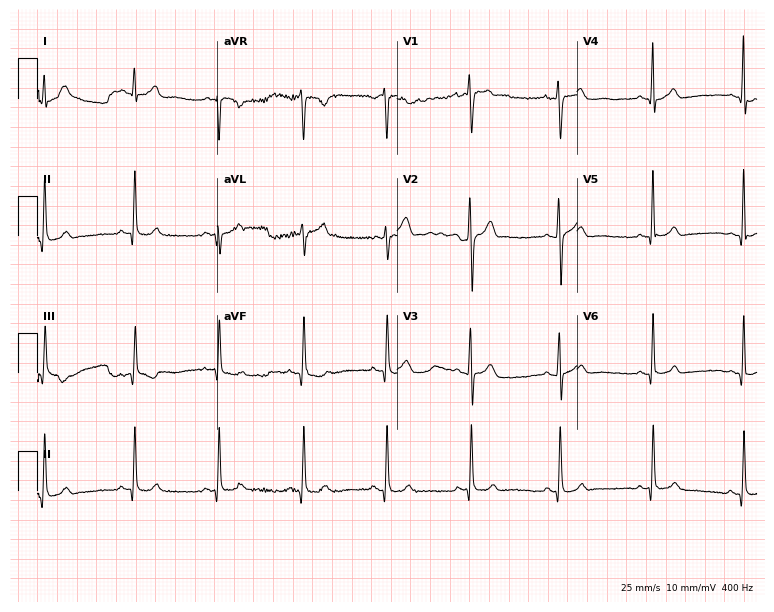
12-lead ECG from a man, 27 years old. Recorded interpretation: within normal limits.